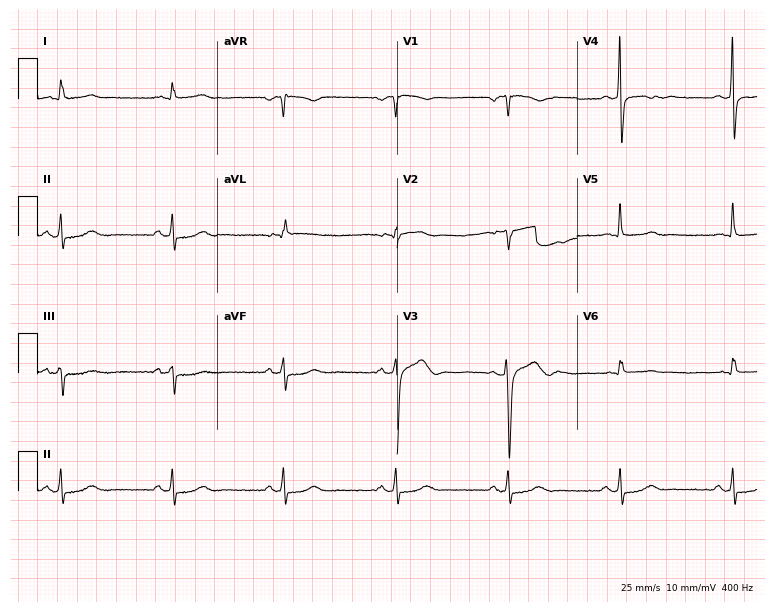
Electrocardiogram (7.3-second recording at 400 Hz), a 62-year-old male. Of the six screened findings (first-degree AV block, right bundle branch block (RBBB), left bundle branch block (LBBB), sinus bradycardia, atrial fibrillation (AF), sinus tachycardia), none is recorded. Findings outside these six are not listed.